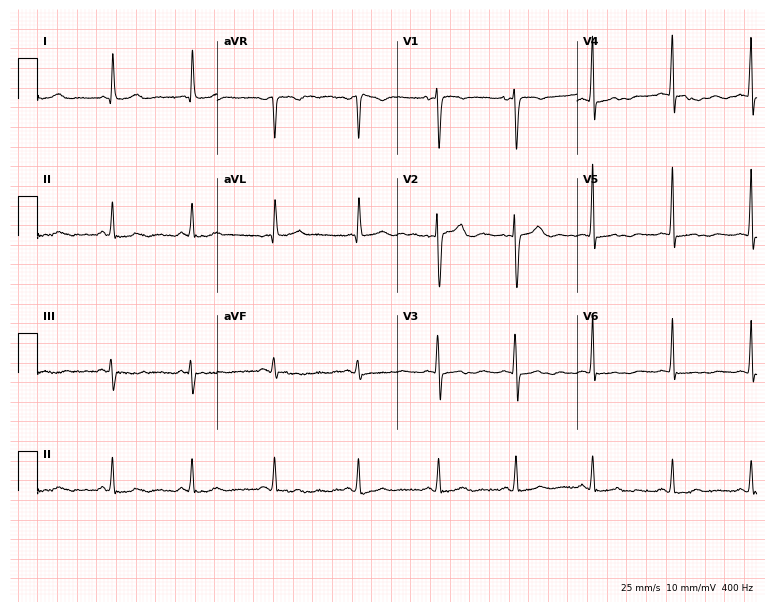
12-lead ECG from a woman, 41 years old (7.3-second recording at 400 Hz). No first-degree AV block, right bundle branch block, left bundle branch block, sinus bradycardia, atrial fibrillation or sinus tachycardia recorded for this tracing. Other findings, if any, are not listed.